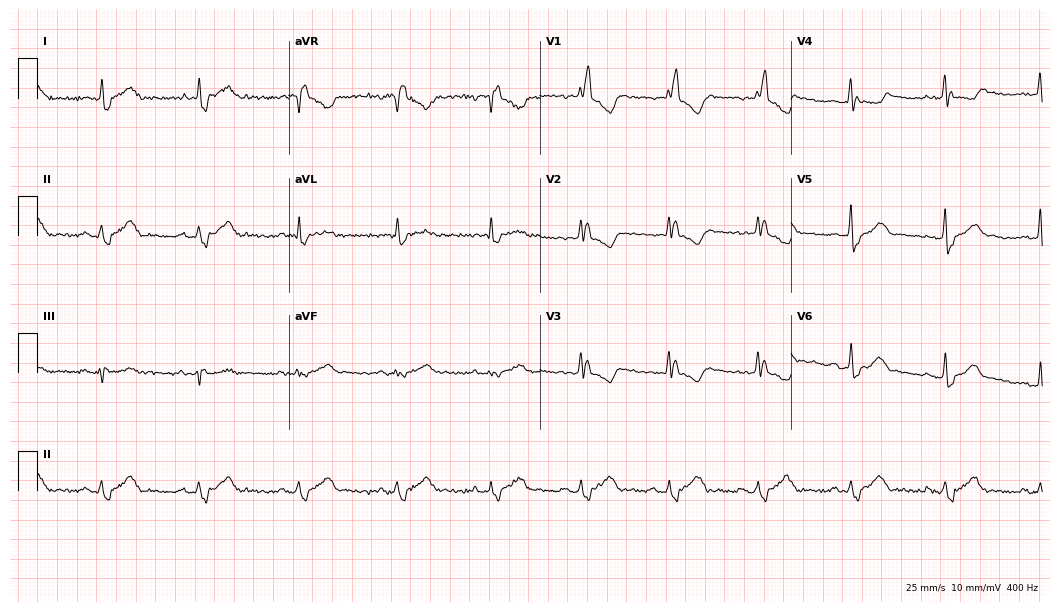
Electrocardiogram (10.2-second recording at 400 Hz), a 46-year-old man. Interpretation includes right bundle branch block (RBBB).